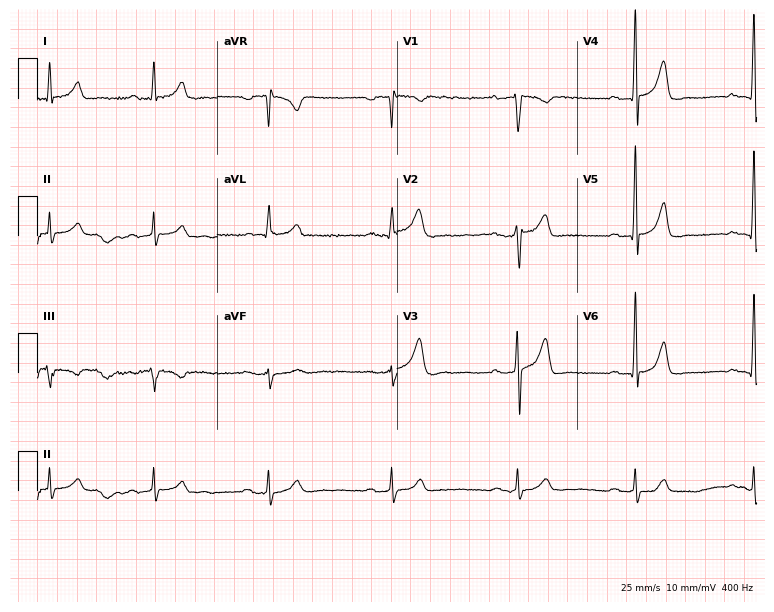
Resting 12-lead electrocardiogram. Patient: a 45-year-old man. The tracing shows first-degree AV block.